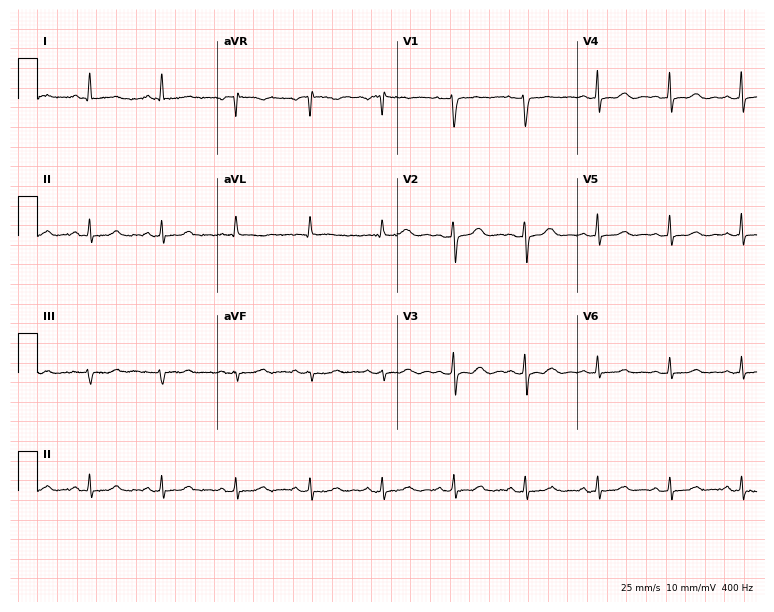
ECG — a 61-year-old female. Screened for six findings — first-degree AV block, right bundle branch block, left bundle branch block, sinus bradycardia, atrial fibrillation, sinus tachycardia — none is recorded.